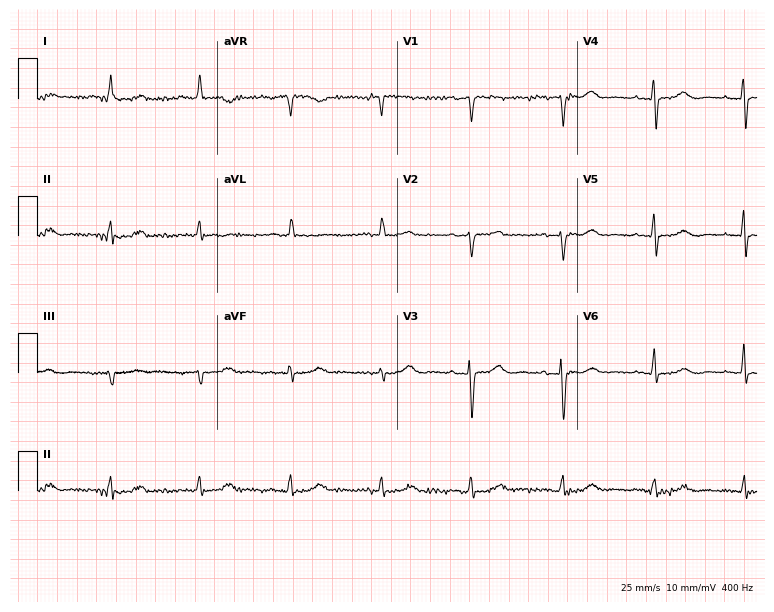
Electrocardiogram (7.3-second recording at 400 Hz), a woman, 73 years old. Of the six screened findings (first-degree AV block, right bundle branch block, left bundle branch block, sinus bradycardia, atrial fibrillation, sinus tachycardia), none is recorded. Findings outside these six are not listed.